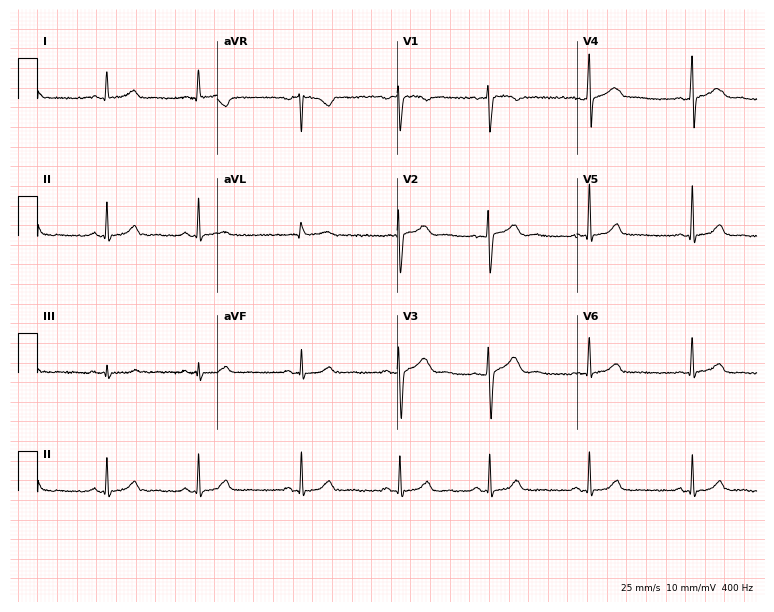
ECG — a 31-year-old female. Screened for six findings — first-degree AV block, right bundle branch block, left bundle branch block, sinus bradycardia, atrial fibrillation, sinus tachycardia — none is recorded. Other findings, if any, are not listed.